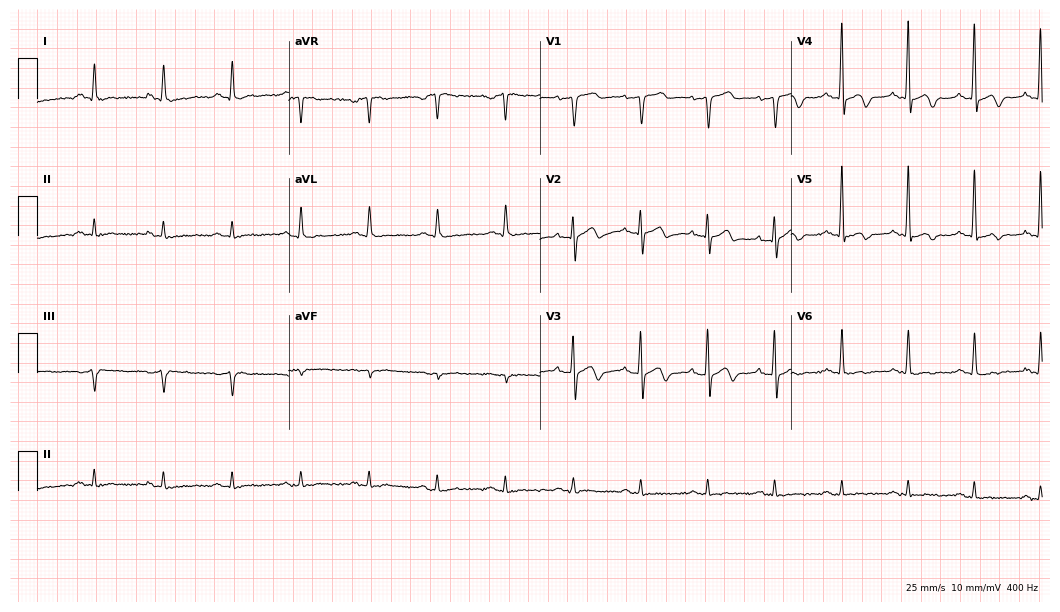
12-lead ECG (10.2-second recording at 400 Hz) from a male patient, 76 years old. Screened for six findings — first-degree AV block, right bundle branch block (RBBB), left bundle branch block (LBBB), sinus bradycardia, atrial fibrillation (AF), sinus tachycardia — none is recorded.